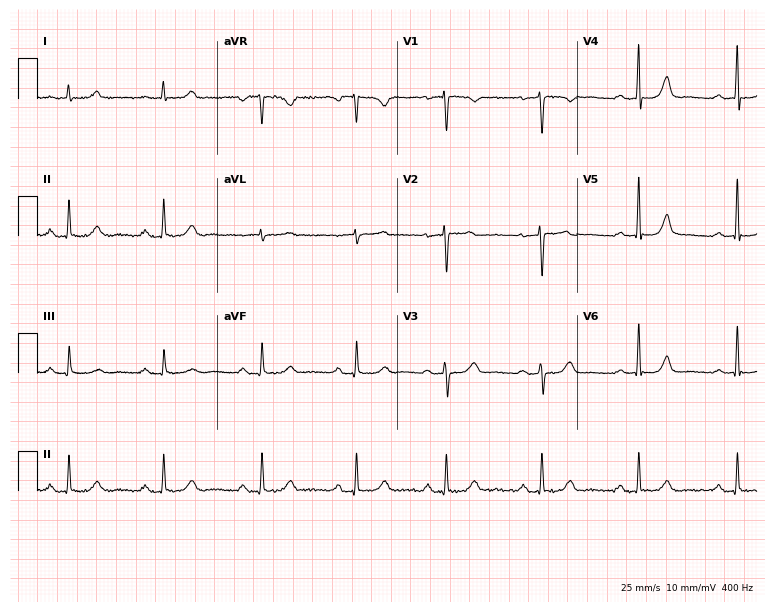
Resting 12-lead electrocardiogram. Patient: a 40-year-old female. None of these six findings is recorded: first-degree AV block, right bundle branch block, left bundle branch block, sinus bradycardia, atrial fibrillation, sinus tachycardia. Only these six findings were labelled.